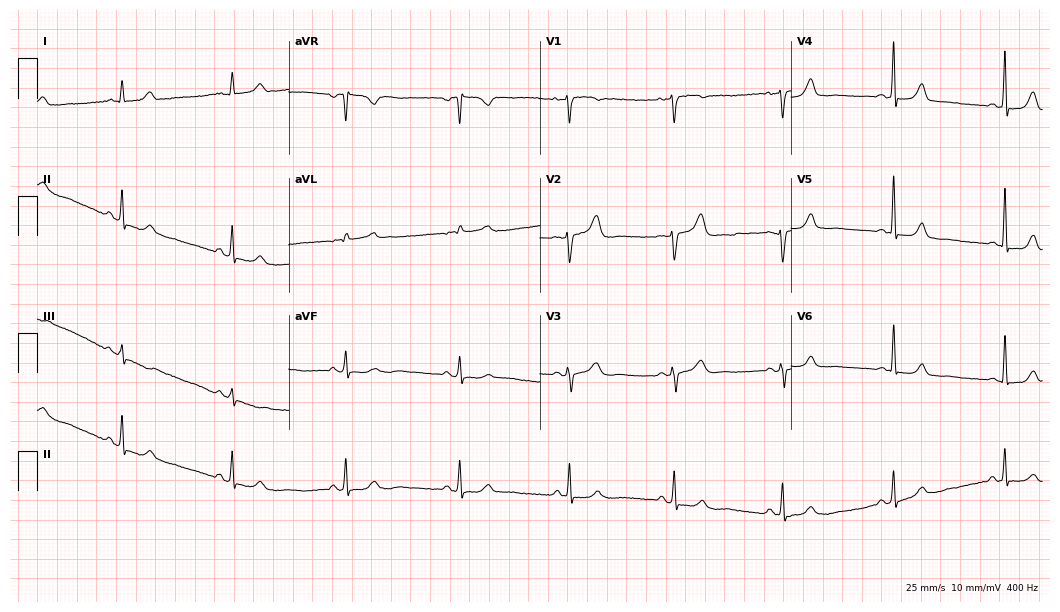
ECG (10.2-second recording at 400 Hz) — a 56-year-old female. Screened for six findings — first-degree AV block, right bundle branch block, left bundle branch block, sinus bradycardia, atrial fibrillation, sinus tachycardia — none is recorded.